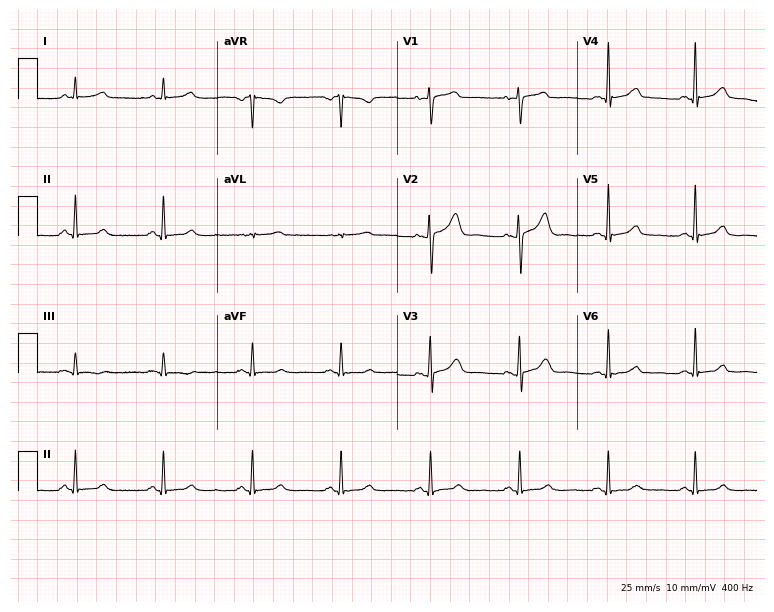
Electrocardiogram (7.3-second recording at 400 Hz), a 42-year-old female patient. Of the six screened findings (first-degree AV block, right bundle branch block (RBBB), left bundle branch block (LBBB), sinus bradycardia, atrial fibrillation (AF), sinus tachycardia), none is recorded.